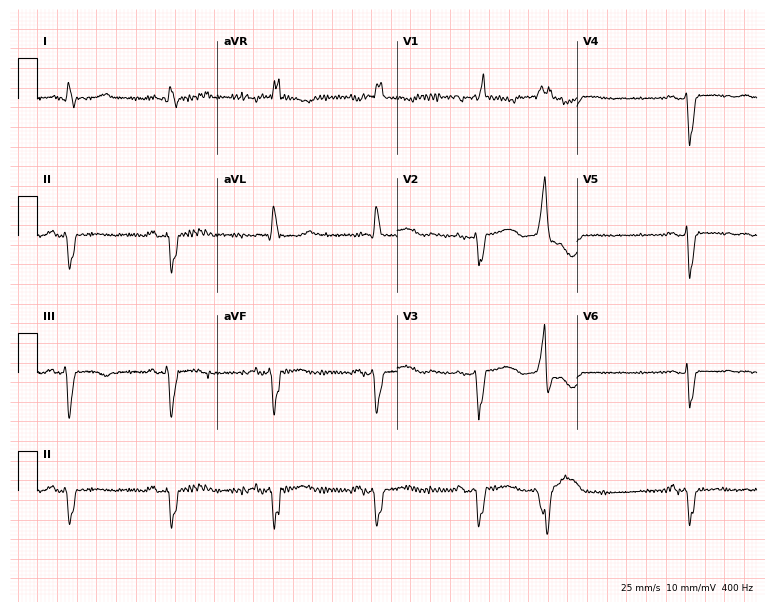
12-lead ECG from a male patient, 38 years old (7.3-second recording at 400 Hz). Shows right bundle branch block.